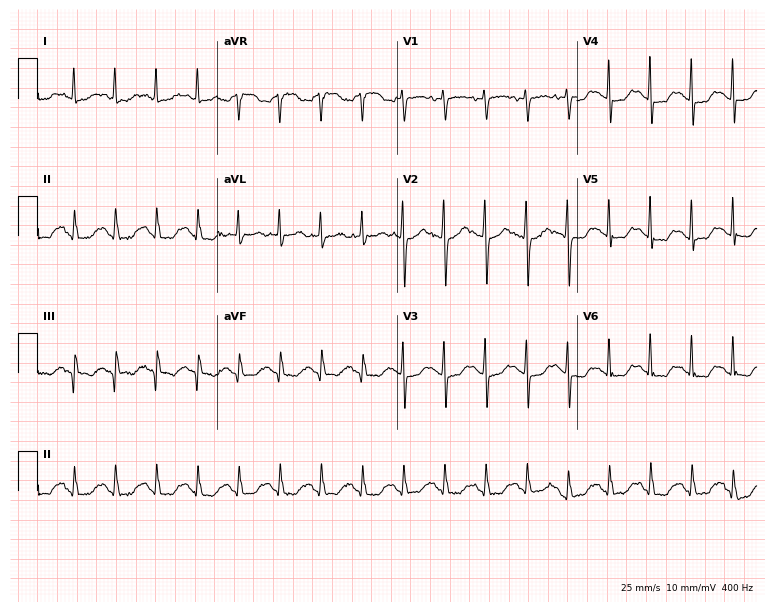
Resting 12-lead electrocardiogram. Patient: a 76-year-old female. The tracing shows sinus tachycardia (a sinus rate of 100 beats per minute or more).